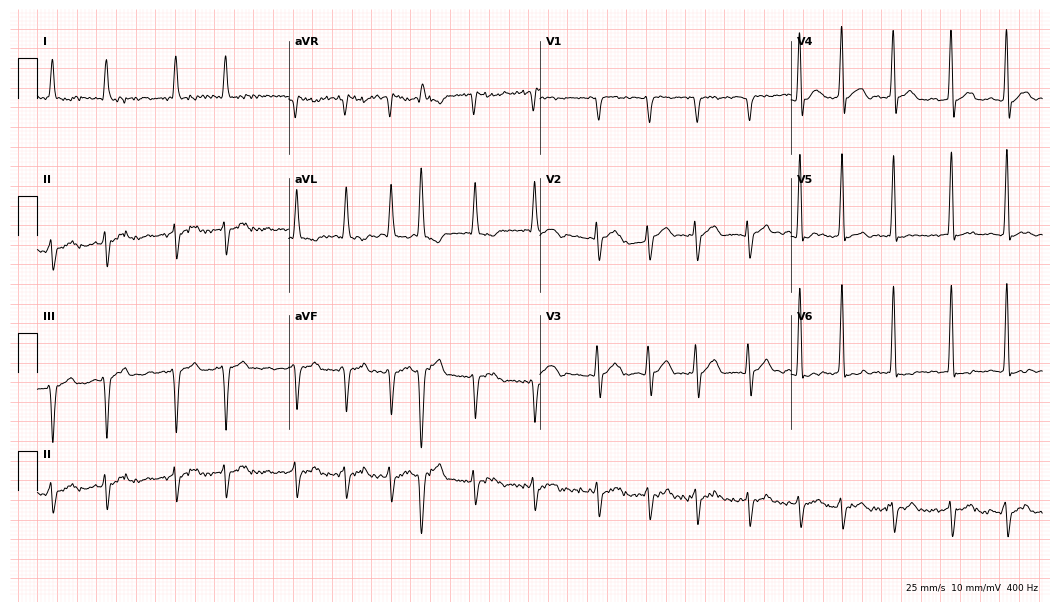
Standard 12-lead ECG recorded from a 79-year-old male. The tracing shows atrial fibrillation.